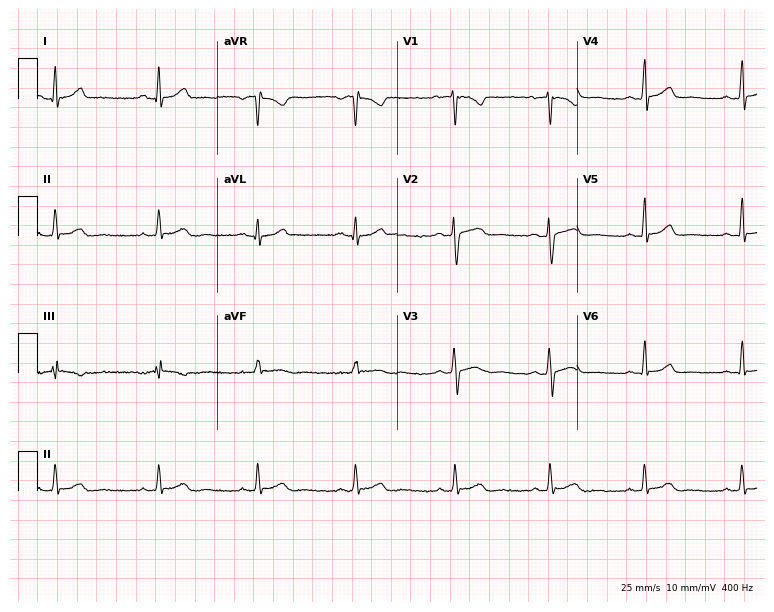
12-lead ECG from a female, 44 years old. No first-degree AV block, right bundle branch block, left bundle branch block, sinus bradycardia, atrial fibrillation or sinus tachycardia recorded for this tracing. Only these six findings were labelled.